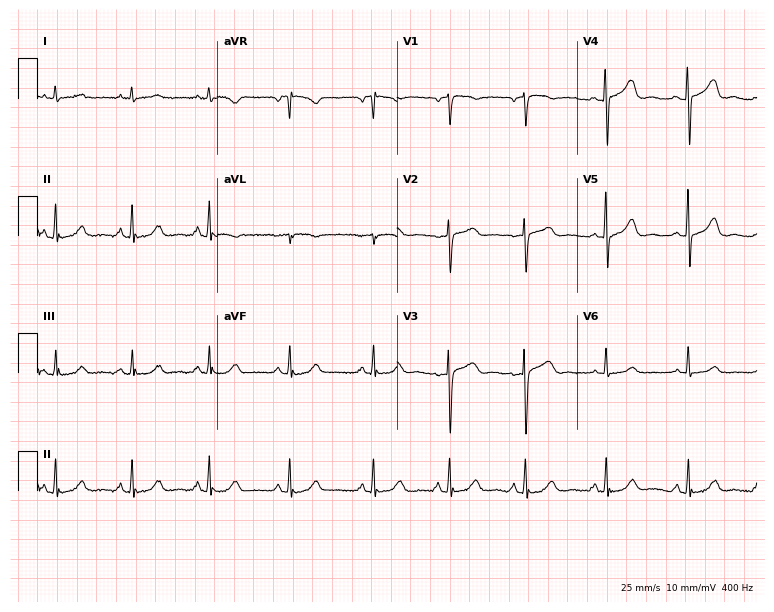
ECG — a 58-year-old woman. Screened for six findings — first-degree AV block, right bundle branch block, left bundle branch block, sinus bradycardia, atrial fibrillation, sinus tachycardia — none is recorded.